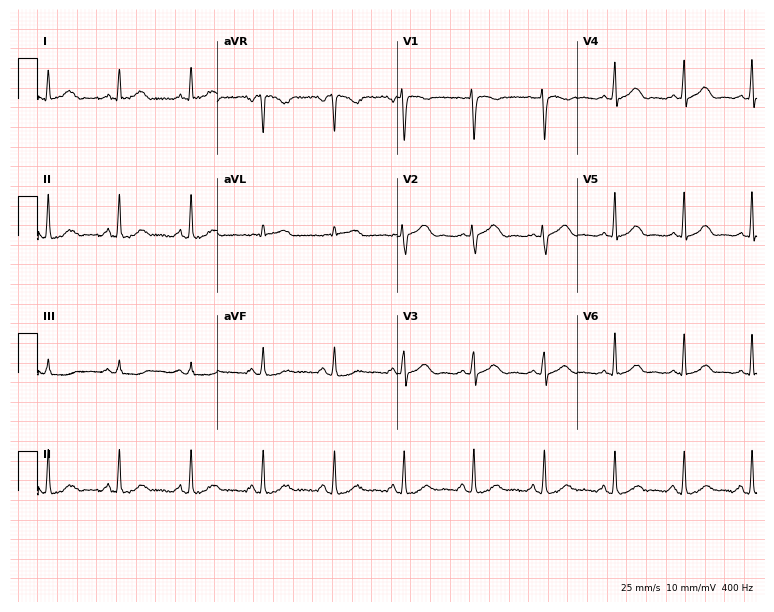
12-lead ECG from a female, 40 years old. Labelled as a normal ECG.